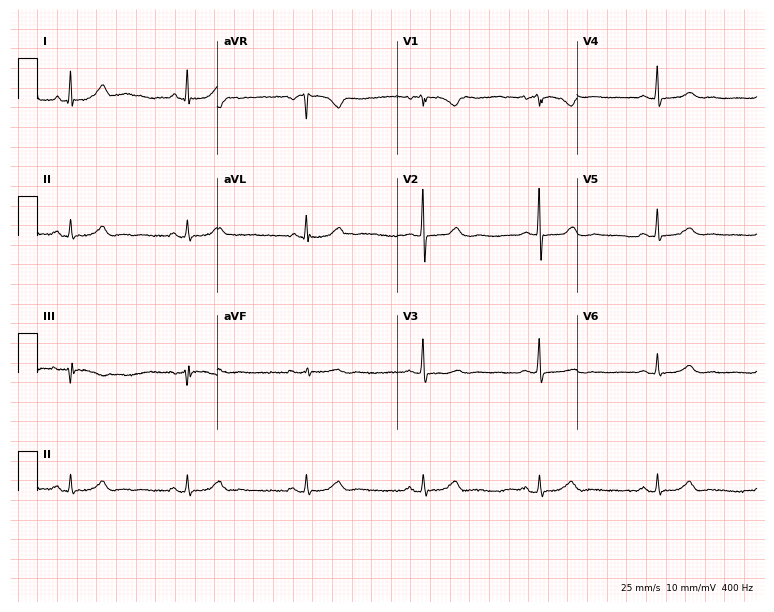
Resting 12-lead electrocardiogram. Patient: a 60-year-old female. Read as a normal ECG.